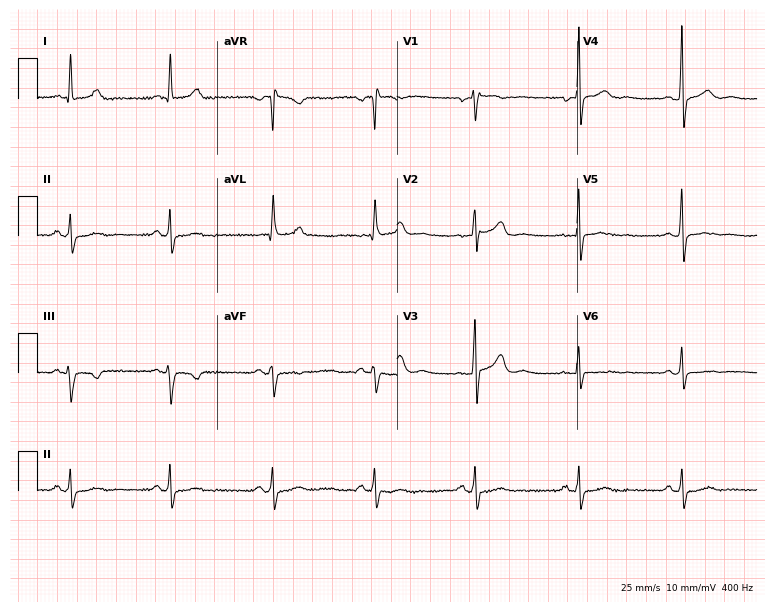
12-lead ECG from a male patient, 56 years old. No first-degree AV block, right bundle branch block, left bundle branch block, sinus bradycardia, atrial fibrillation or sinus tachycardia recorded for this tracing.